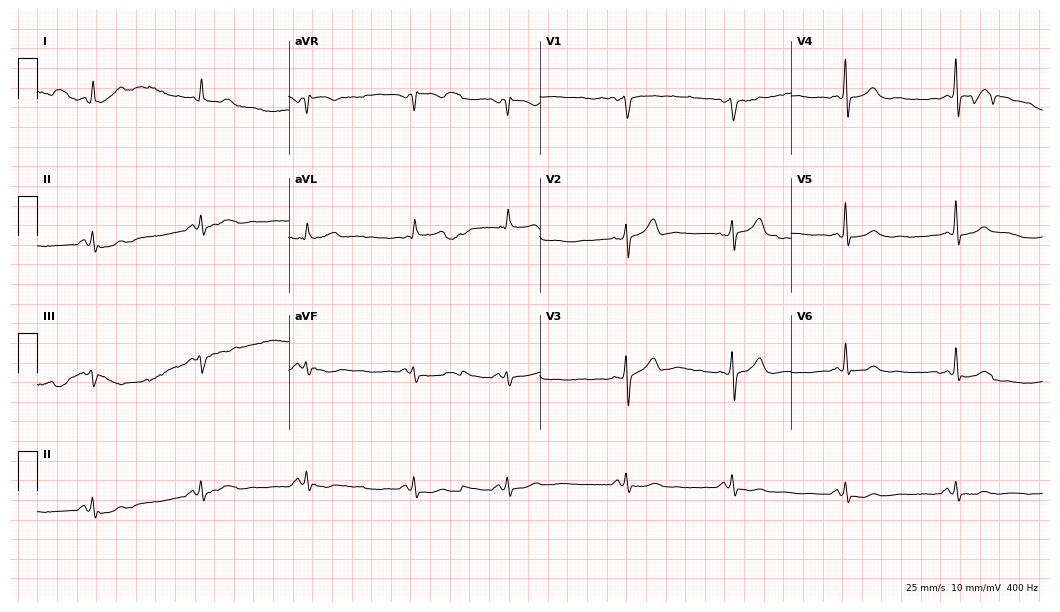
Resting 12-lead electrocardiogram (10.2-second recording at 400 Hz). Patient: a 74-year-old man. Read as a normal ECG.